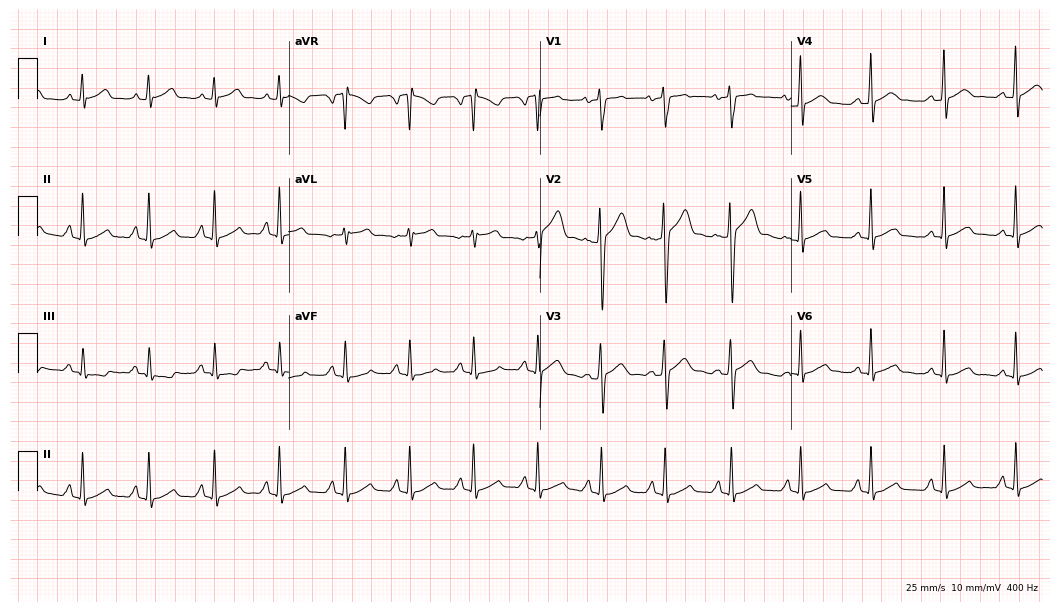
ECG (10.2-second recording at 400 Hz) — a 40-year-old male patient. Screened for six findings — first-degree AV block, right bundle branch block (RBBB), left bundle branch block (LBBB), sinus bradycardia, atrial fibrillation (AF), sinus tachycardia — none is recorded. Only these six findings were labelled.